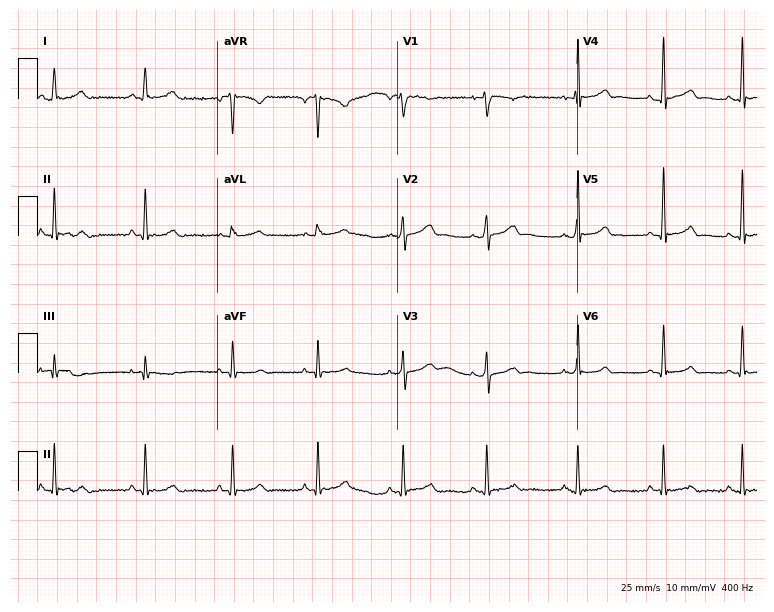
12-lead ECG from a 38-year-old female (7.3-second recording at 400 Hz). Recorded interpretation: within normal limits.